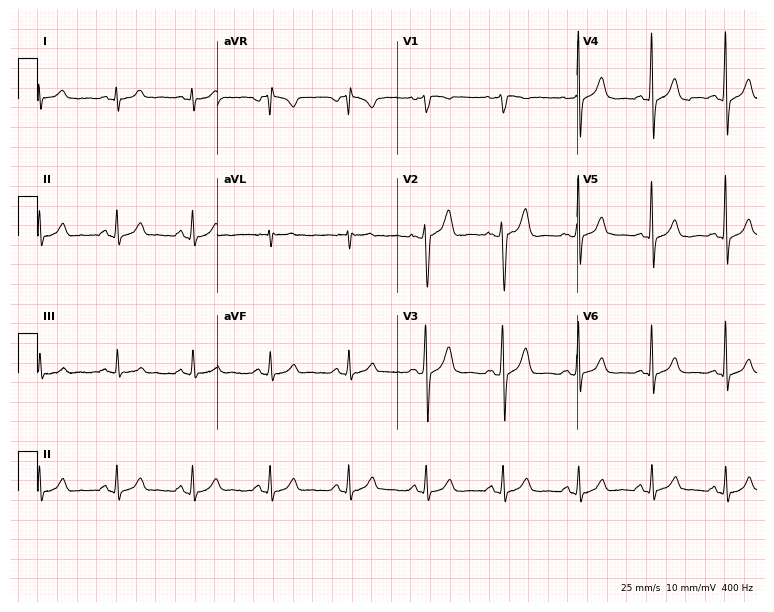
12-lead ECG (7.3-second recording at 400 Hz) from a male patient, 44 years old. Screened for six findings — first-degree AV block, right bundle branch block, left bundle branch block, sinus bradycardia, atrial fibrillation, sinus tachycardia — none is recorded. Only these six findings were labelled.